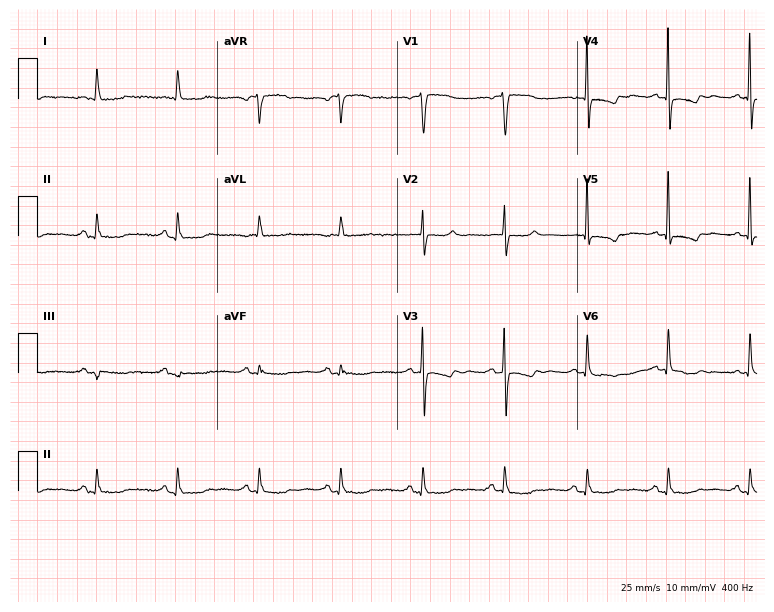
12-lead ECG from a woman, 78 years old (7.3-second recording at 400 Hz). No first-degree AV block, right bundle branch block, left bundle branch block, sinus bradycardia, atrial fibrillation or sinus tachycardia recorded for this tracing.